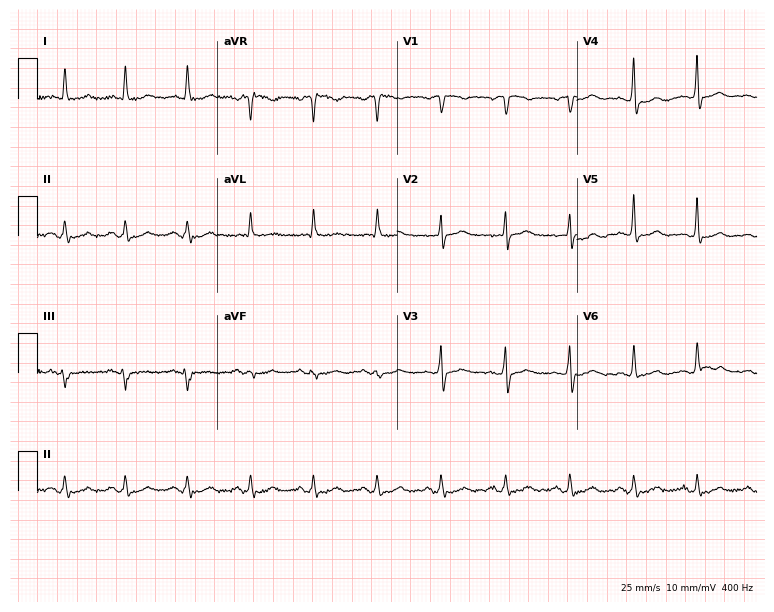
Standard 12-lead ECG recorded from a 64-year-old male (7.3-second recording at 400 Hz). None of these six findings is recorded: first-degree AV block, right bundle branch block, left bundle branch block, sinus bradycardia, atrial fibrillation, sinus tachycardia.